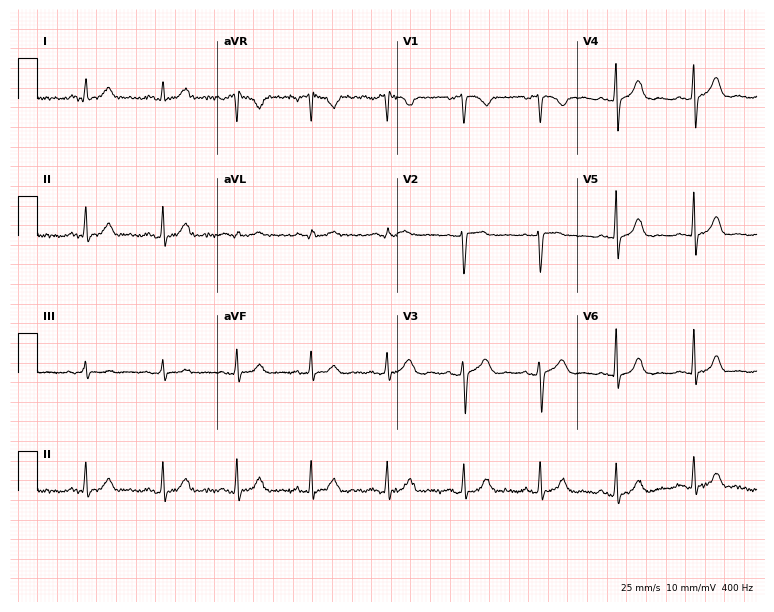
12-lead ECG (7.3-second recording at 400 Hz) from a woman, 49 years old. Labelled as a normal ECG.